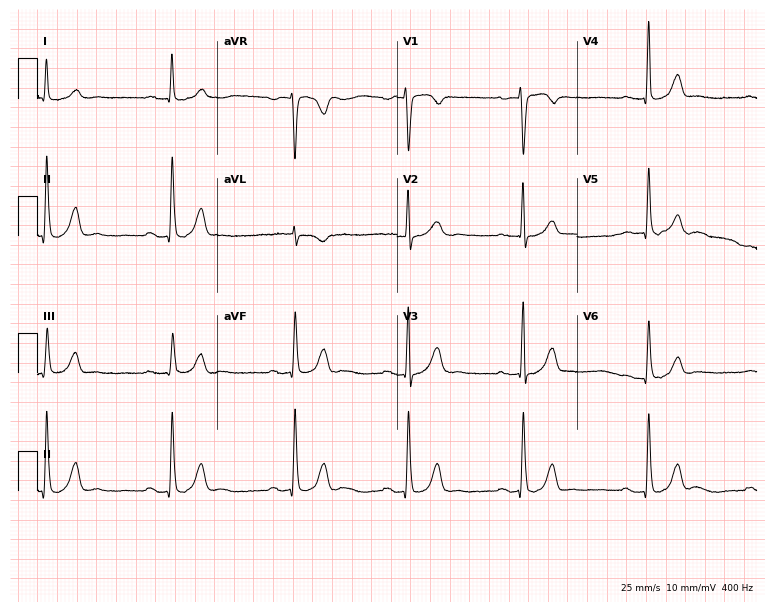
Resting 12-lead electrocardiogram (7.3-second recording at 400 Hz). Patient: a male, 49 years old. Read as a normal ECG.